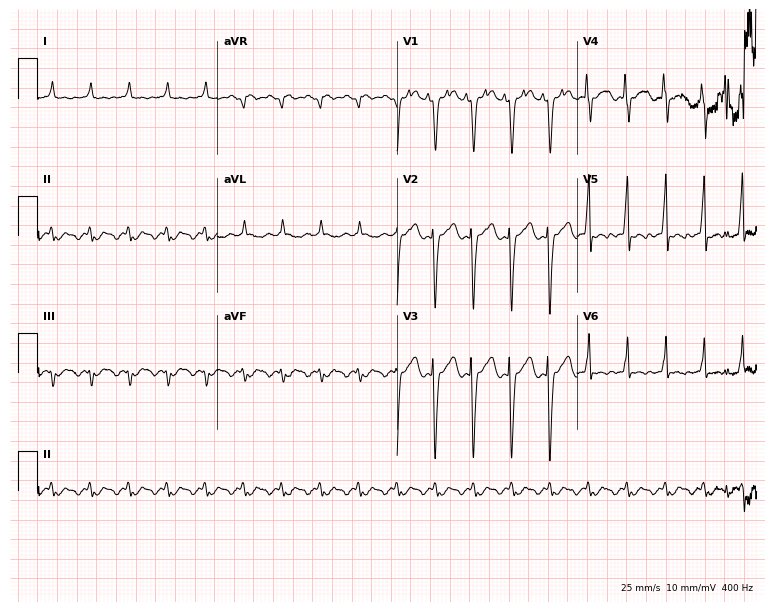
12-lead ECG from a 75-year-old male (7.3-second recording at 400 Hz). No first-degree AV block, right bundle branch block, left bundle branch block, sinus bradycardia, atrial fibrillation or sinus tachycardia recorded for this tracing.